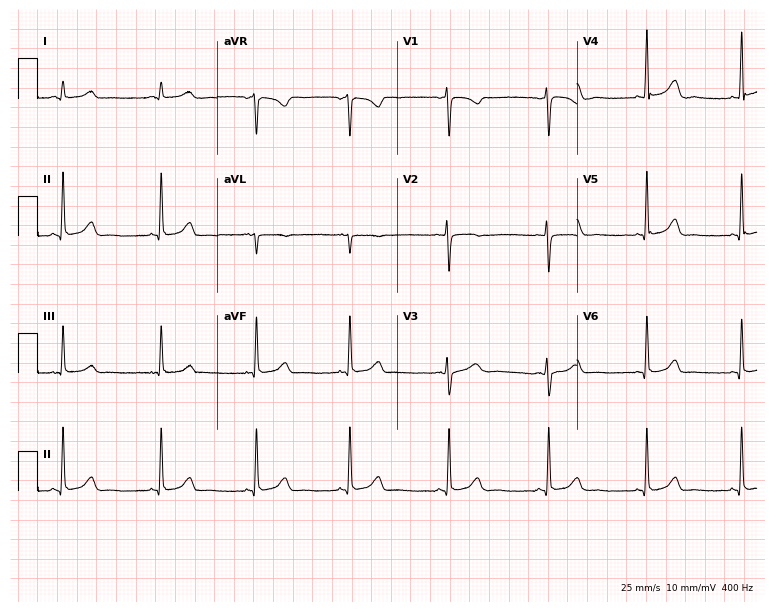
Electrocardiogram, a female patient, 30 years old. Overall reading on record: normal ECG.